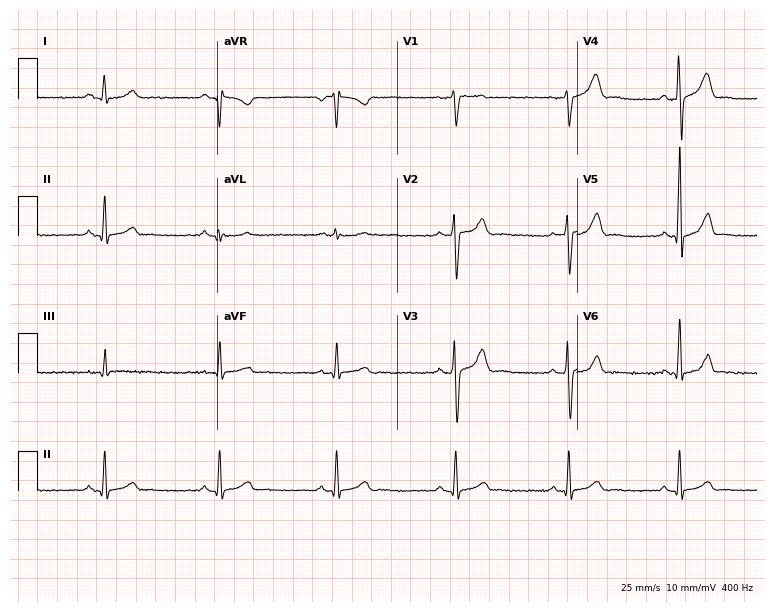
Standard 12-lead ECG recorded from a 33-year-old male patient. None of these six findings is recorded: first-degree AV block, right bundle branch block, left bundle branch block, sinus bradycardia, atrial fibrillation, sinus tachycardia.